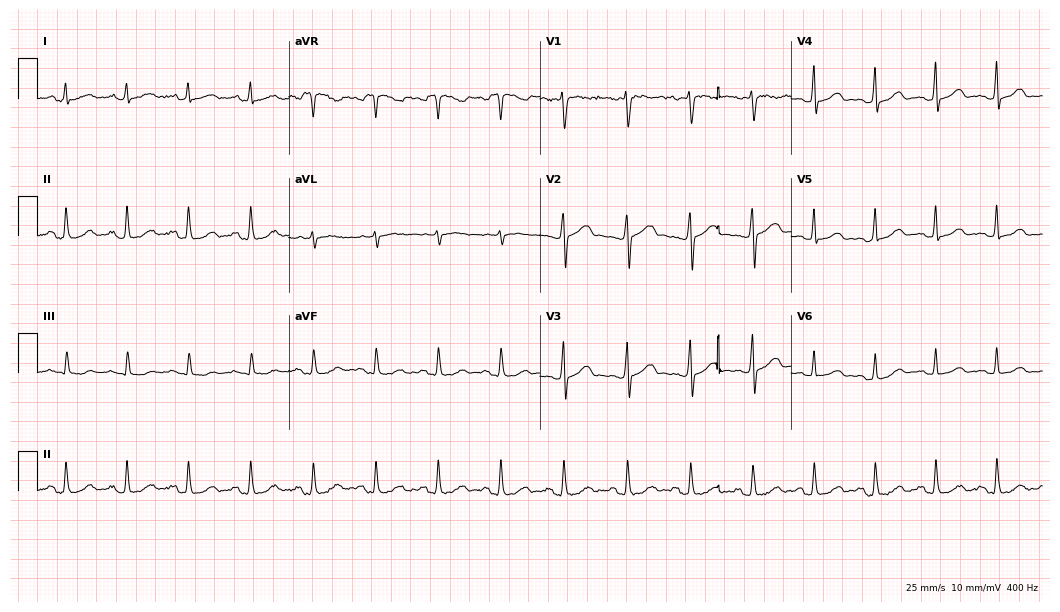
ECG (10.2-second recording at 400 Hz) — a female, 30 years old. Labelled as a normal ECG.